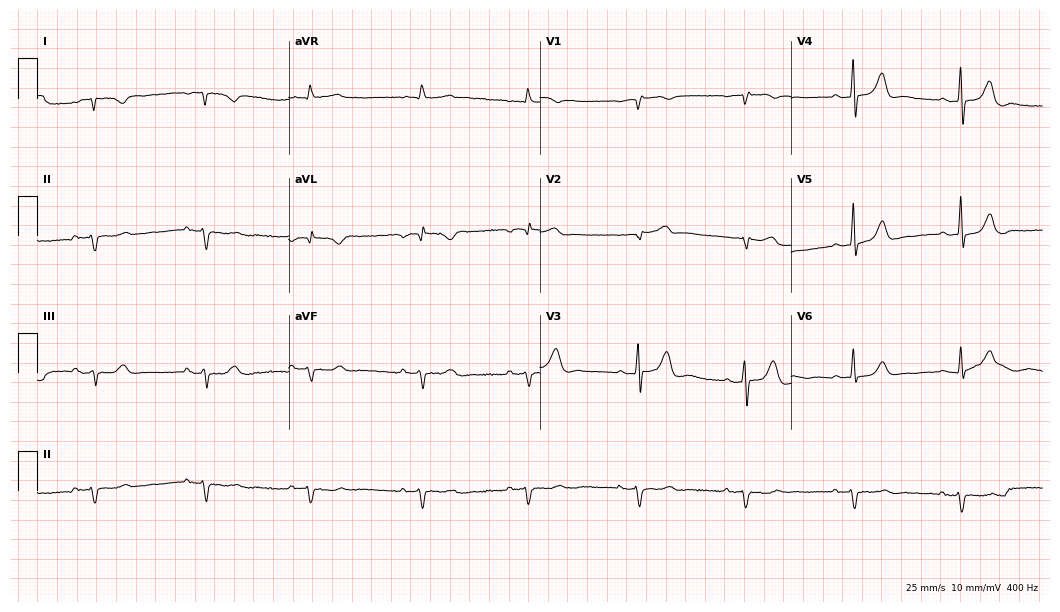
Resting 12-lead electrocardiogram. Patient: a man, 81 years old. None of these six findings is recorded: first-degree AV block, right bundle branch block, left bundle branch block, sinus bradycardia, atrial fibrillation, sinus tachycardia.